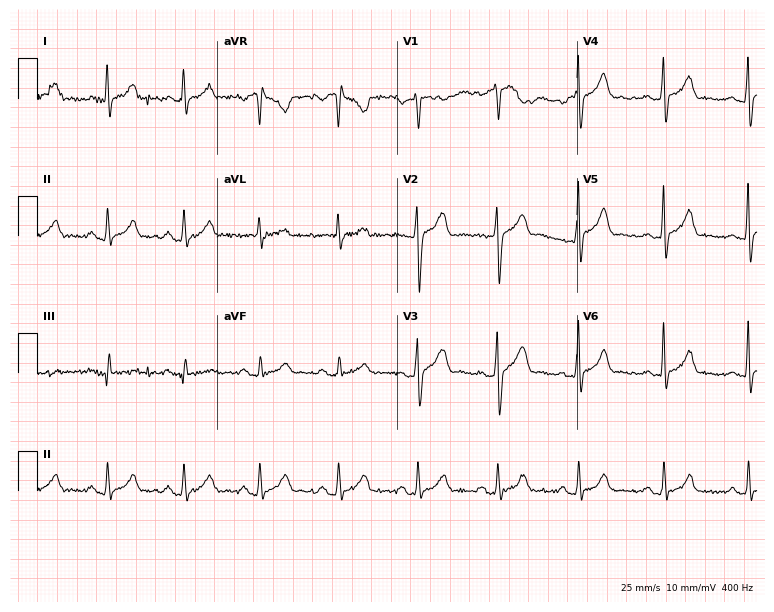
Standard 12-lead ECG recorded from a 33-year-old man. Read as a normal ECG.